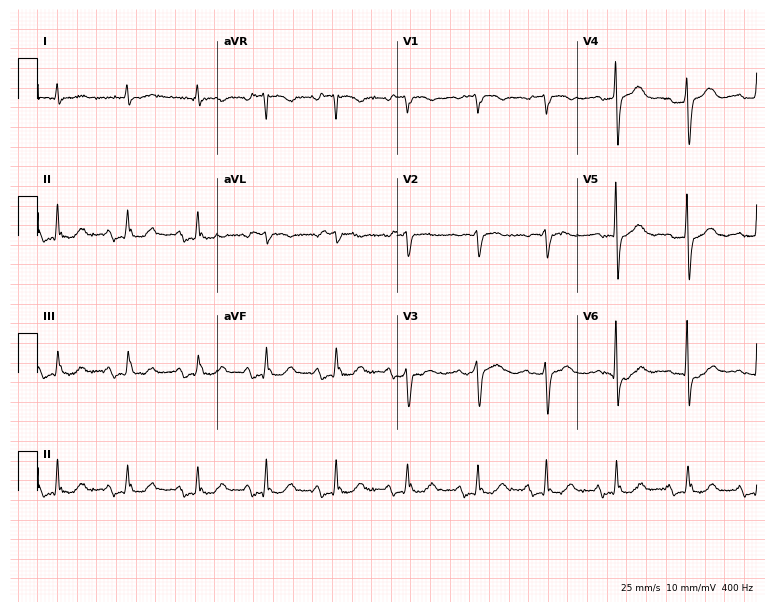
Standard 12-lead ECG recorded from an 80-year-old male patient (7.3-second recording at 400 Hz). Read as a normal ECG.